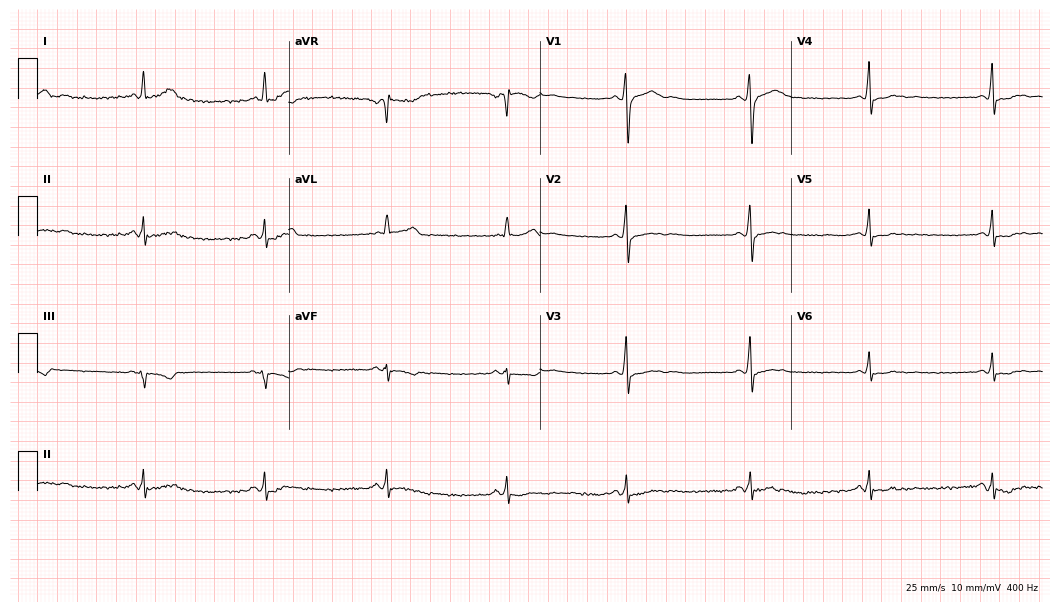
ECG (10.2-second recording at 400 Hz) — a male patient, 28 years old. Screened for six findings — first-degree AV block, right bundle branch block (RBBB), left bundle branch block (LBBB), sinus bradycardia, atrial fibrillation (AF), sinus tachycardia — none is recorded.